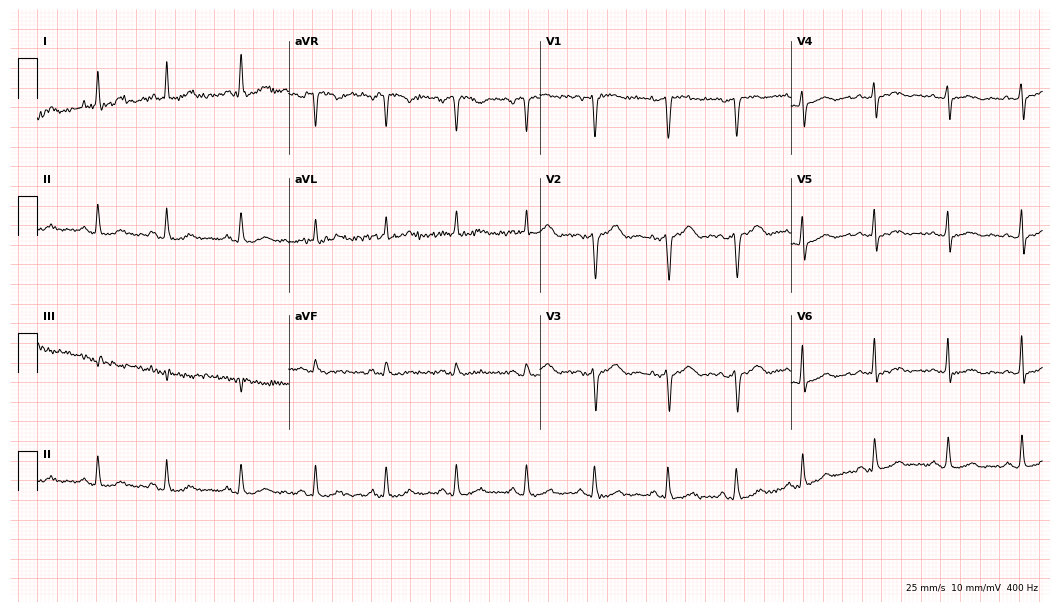
Standard 12-lead ECG recorded from a female, 48 years old (10.2-second recording at 400 Hz). Read as a normal ECG.